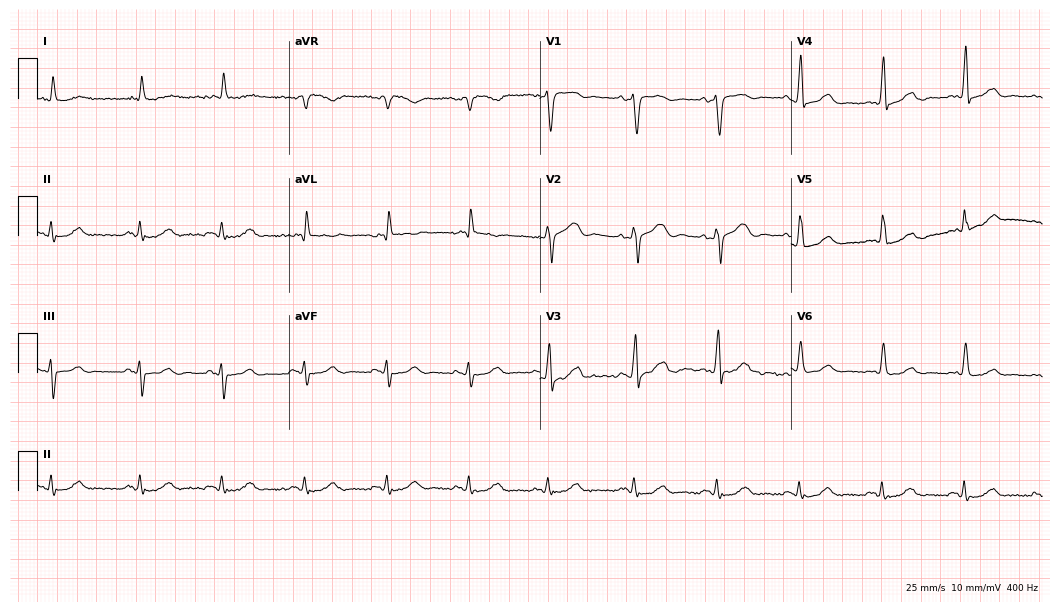
Resting 12-lead electrocardiogram (10.2-second recording at 400 Hz). Patient: an 83-year-old man. Read as a normal ECG.